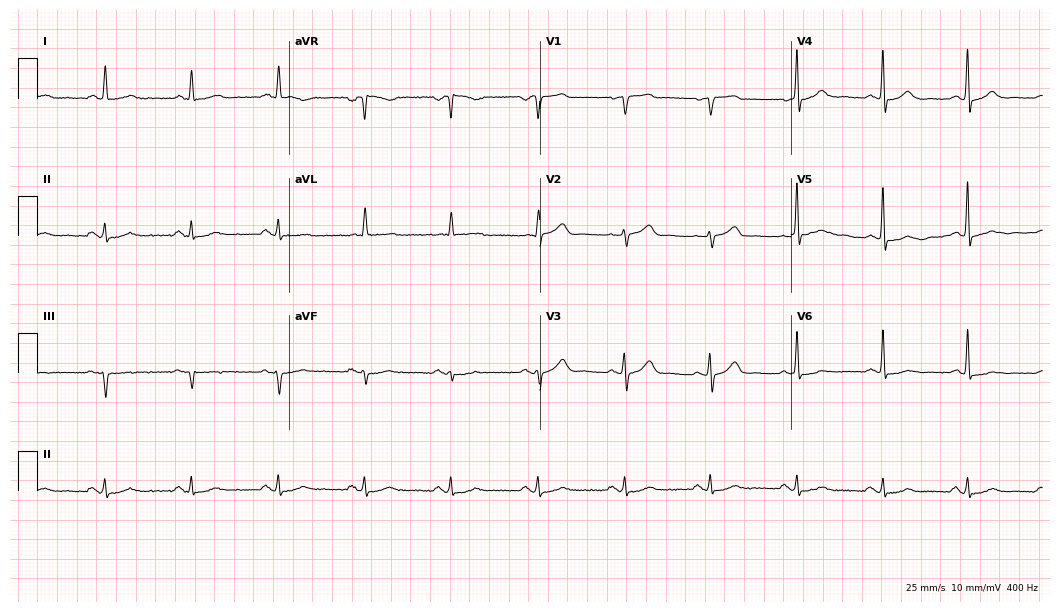
Resting 12-lead electrocardiogram (10.2-second recording at 400 Hz). Patient: a woman, 75 years old. Read as a normal ECG.